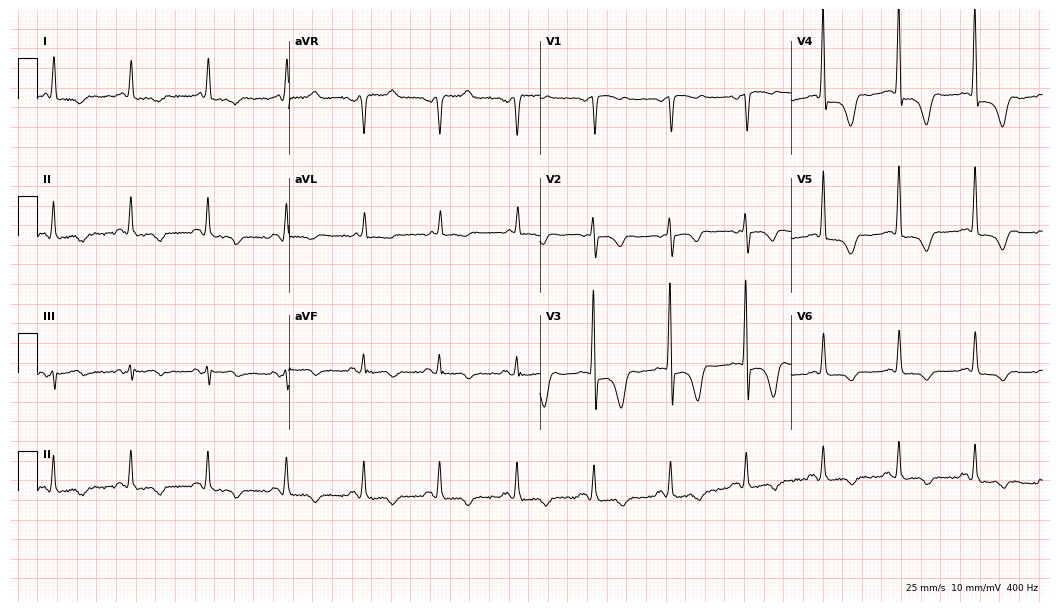
Standard 12-lead ECG recorded from a female, 83 years old (10.2-second recording at 400 Hz). None of these six findings is recorded: first-degree AV block, right bundle branch block, left bundle branch block, sinus bradycardia, atrial fibrillation, sinus tachycardia. Other findings, if any, are not listed.